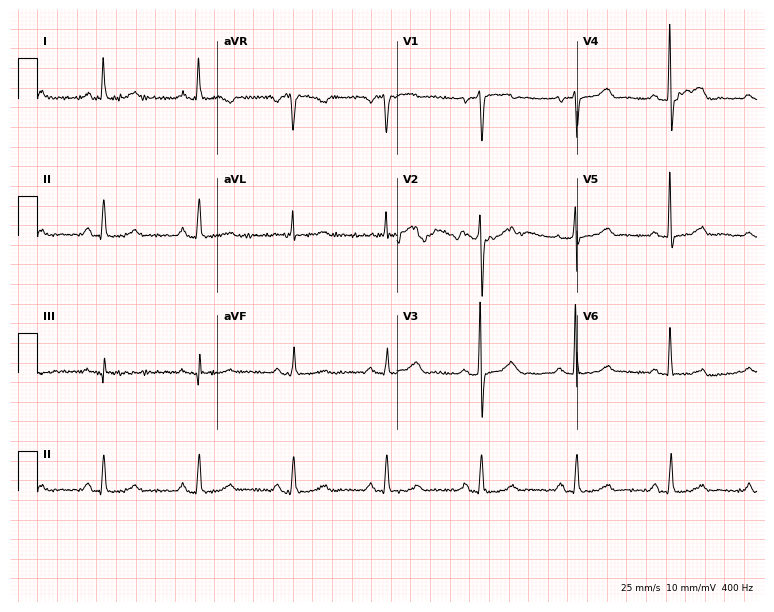
Standard 12-lead ECG recorded from a woman, 67 years old. Read as a normal ECG.